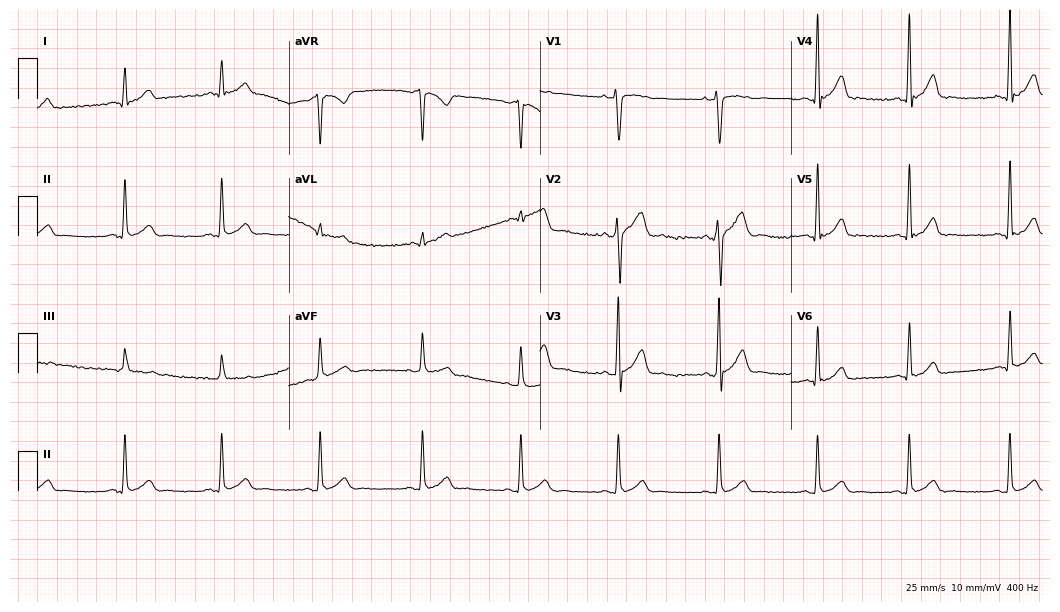
12-lead ECG from a male, 18 years old. Recorded interpretation: within normal limits.